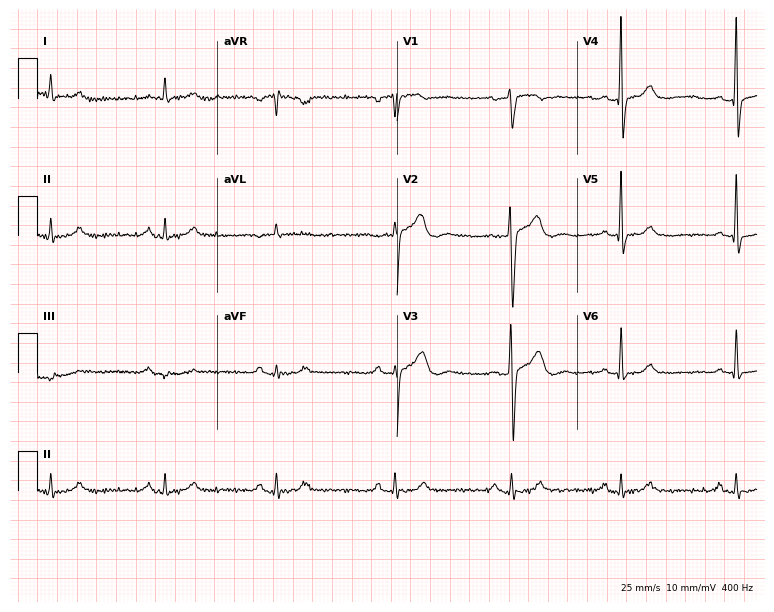
Resting 12-lead electrocardiogram (7.3-second recording at 400 Hz). Patient: a male, 55 years old. None of these six findings is recorded: first-degree AV block, right bundle branch block, left bundle branch block, sinus bradycardia, atrial fibrillation, sinus tachycardia.